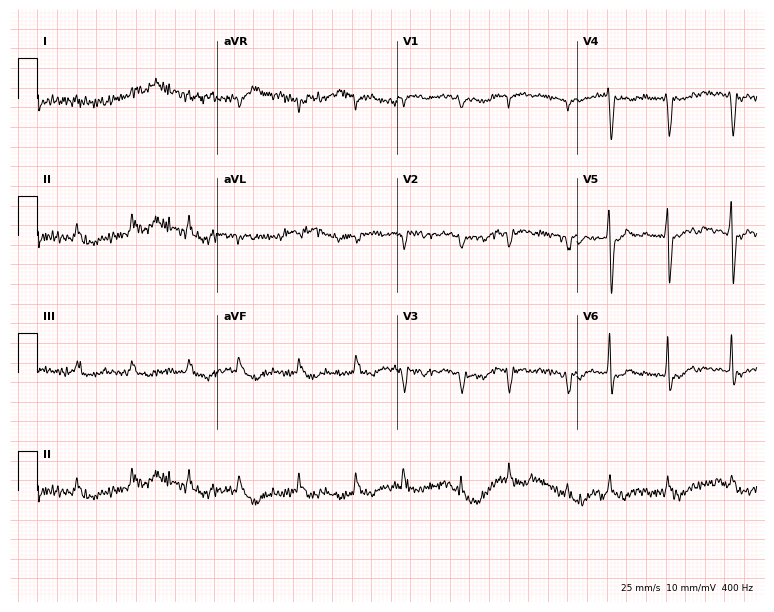
ECG — an 83-year-old male patient. Screened for six findings — first-degree AV block, right bundle branch block (RBBB), left bundle branch block (LBBB), sinus bradycardia, atrial fibrillation (AF), sinus tachycardia — none is recorded. Only these six findings were labelled.